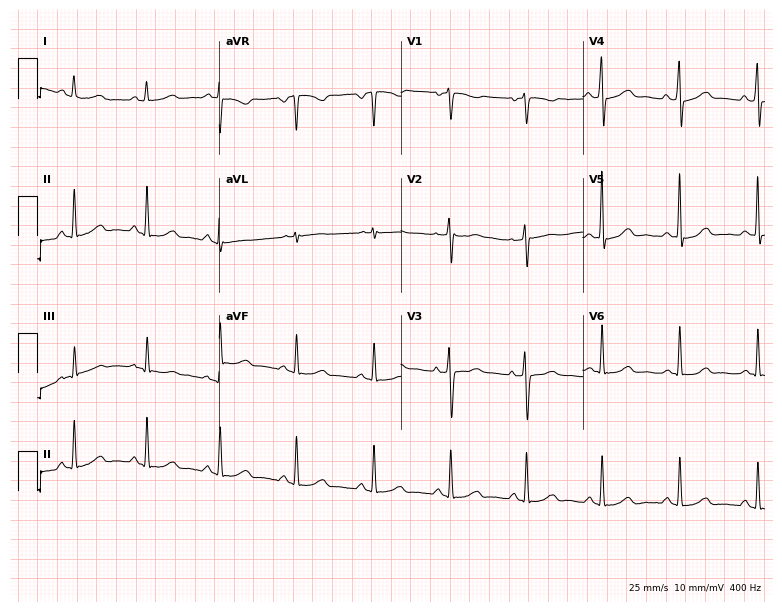
Electrocardiogram, a female, 54 years old. Overall reading on record: normal ECG.